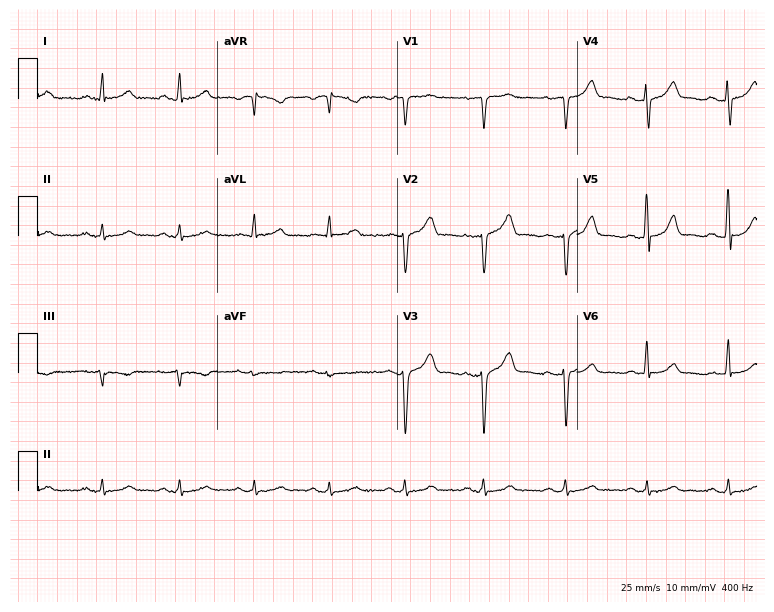
12-lead ECG from a male, 48 years old (7.3-second recording at 400 Hz). No first-degree AV block, right bundle branch block (RBBB), left bundle branch block (LBBB), sinus bradycardia, atrial fibrillation (AF) or sinus tachycardia recorded for this tracing.